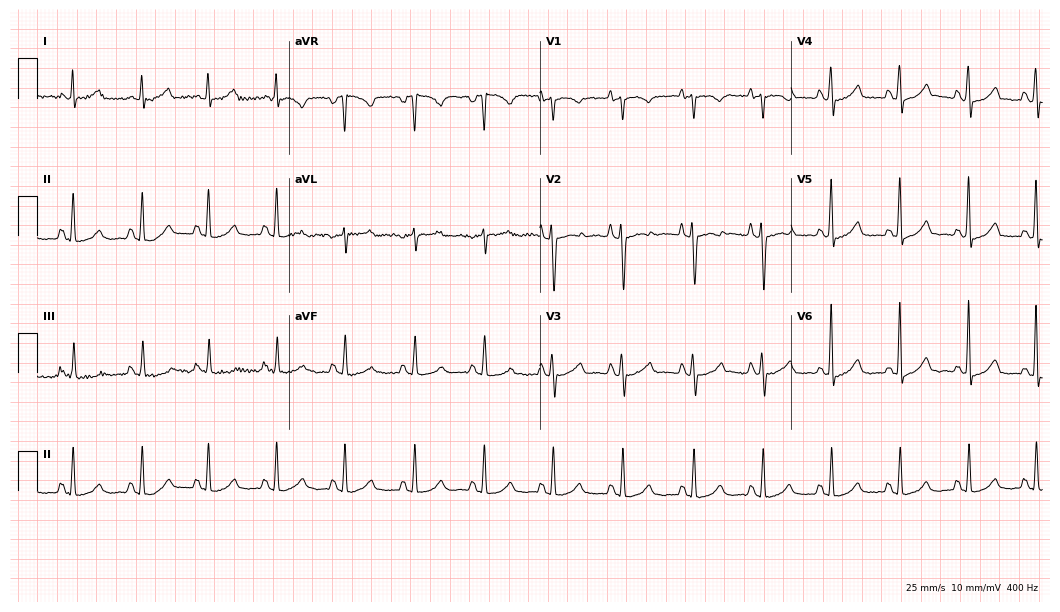
12-lead ECG (10.2-second recording at 400 Hz) from a 36-year-old female patient. Labelled as a normal ECG.